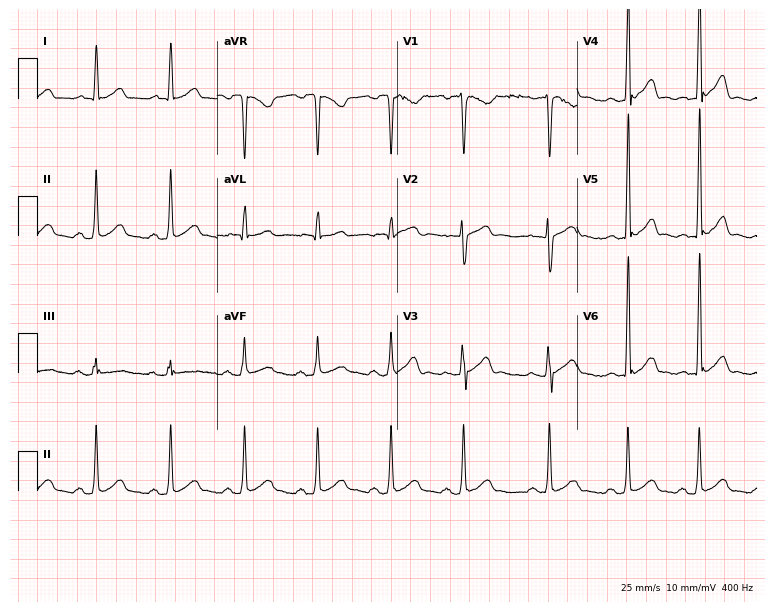
Resting 12-lead electrocardiogram. Patient: a 43-year-old male. None of these six findings is recorded: first-degree AV block, right bundle branch block (RBBB), left bundle branch block (LBBB), sinus bradycardia, atrial fibrillation (AF), sinus tachycardia.